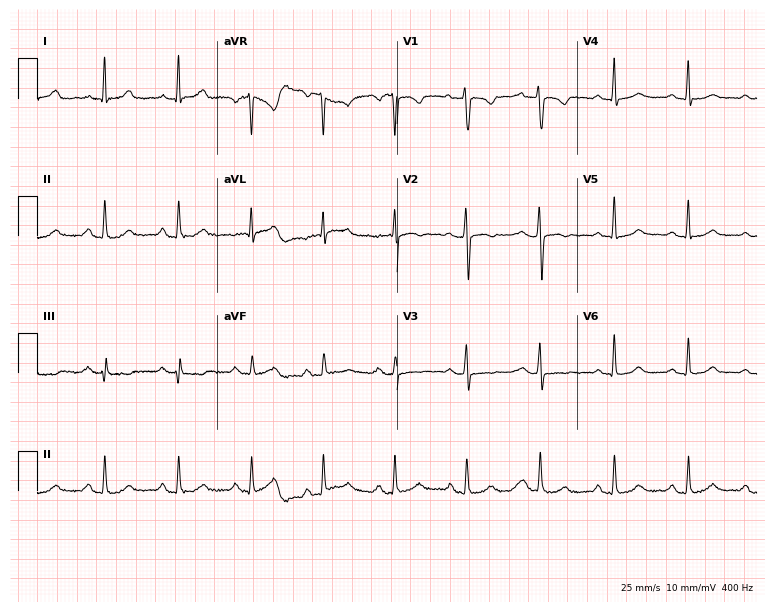
12-lead ECG from a 49-year-old female patient (7.3-second recording at 400 Hz). Recorded interpretation: within normal limits.